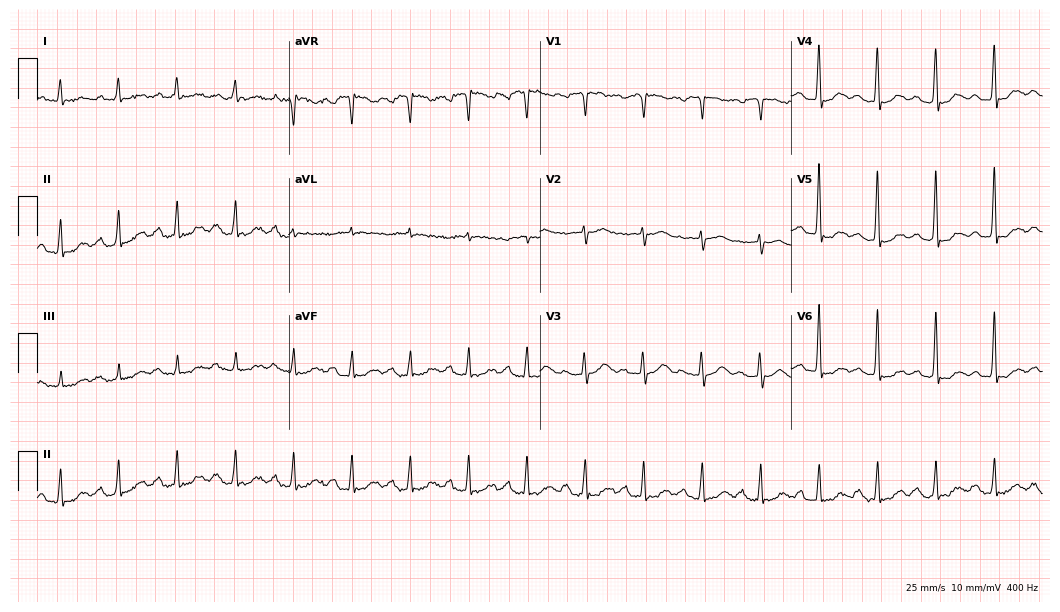
12-lead ECG from a man, 82 years old. Findings include first-degree AV block, sinus tachycardia (a sinus rate of 100 beats per minute or more).